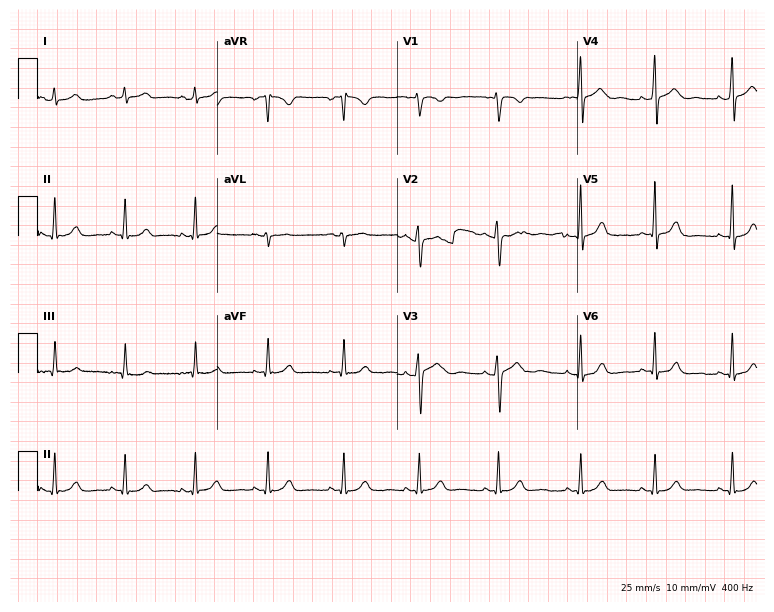
12-lead ECG from a 25-year-old female (7.3-second recording at 400 Hz). No first-degree AV block, right bundle branch block, left bundle branch block, sinus bradycardia, atrial fibrillation or sinus tachycardia recorded for this tracing.